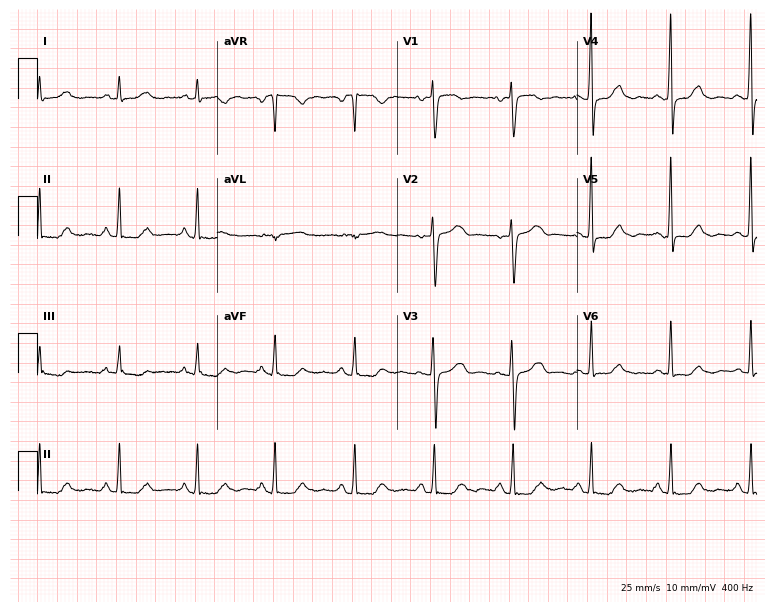
Electrocardiogram (7.3-second recording at 400 Hz), a female patient, 59 years old. Of the six screened findings (first-degree AV block, right bundle branch block, left bundle branch block, sinus bradycardia, atrial fibrillation, sinus tachycardia), none is recorded.